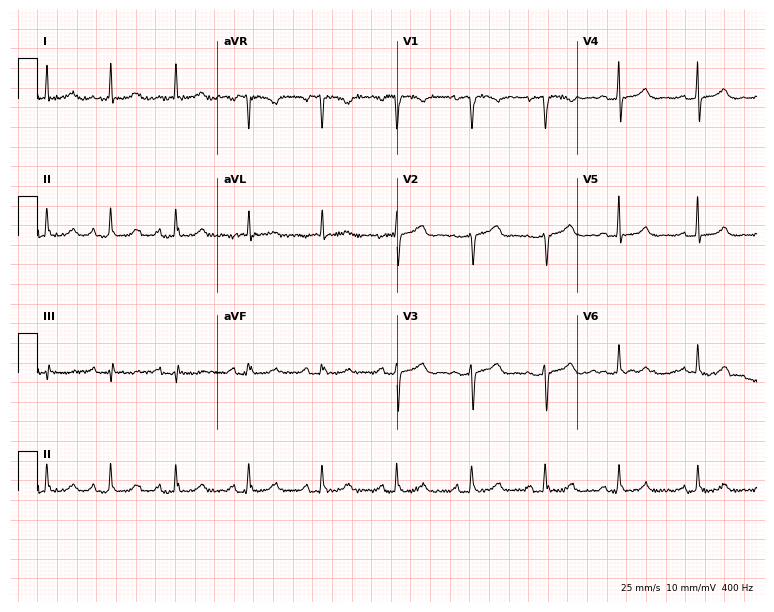
12-lead ECG (7.3-second recording at 400 Hz) from a woman, 70 years old. Labelled as a normal ECG.